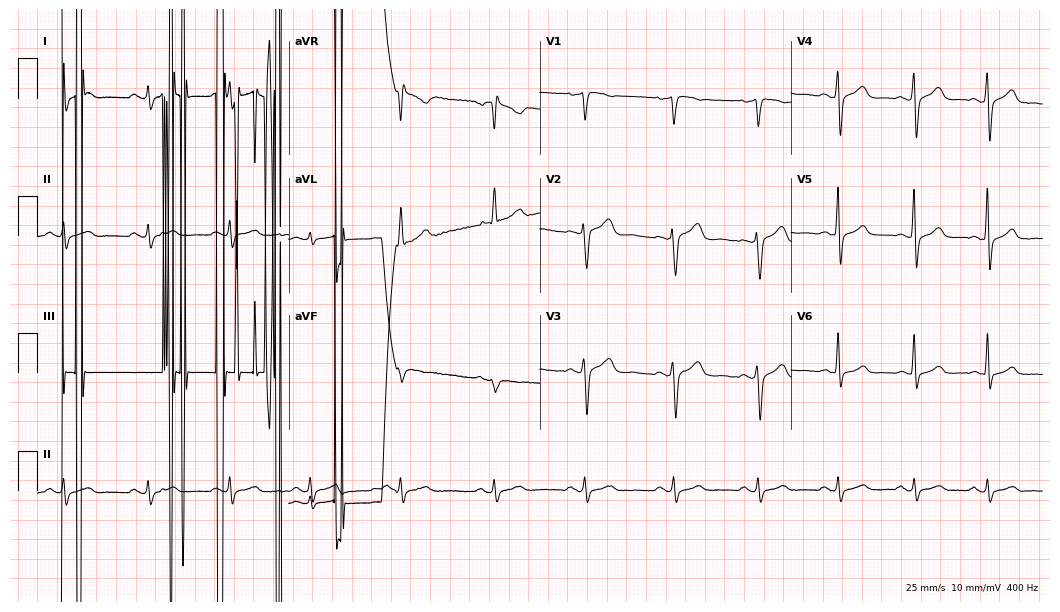
12-lead ECG (10.2-second recording at 400 Hz) from a male, 49 years old. Screened for six findings — first-degree AV block, right bundle branch block, left bundle branch block, sinus bradycardia, atrial fibrillation, sinus tachycardia — none is recorded. Only these six findings were labelled.